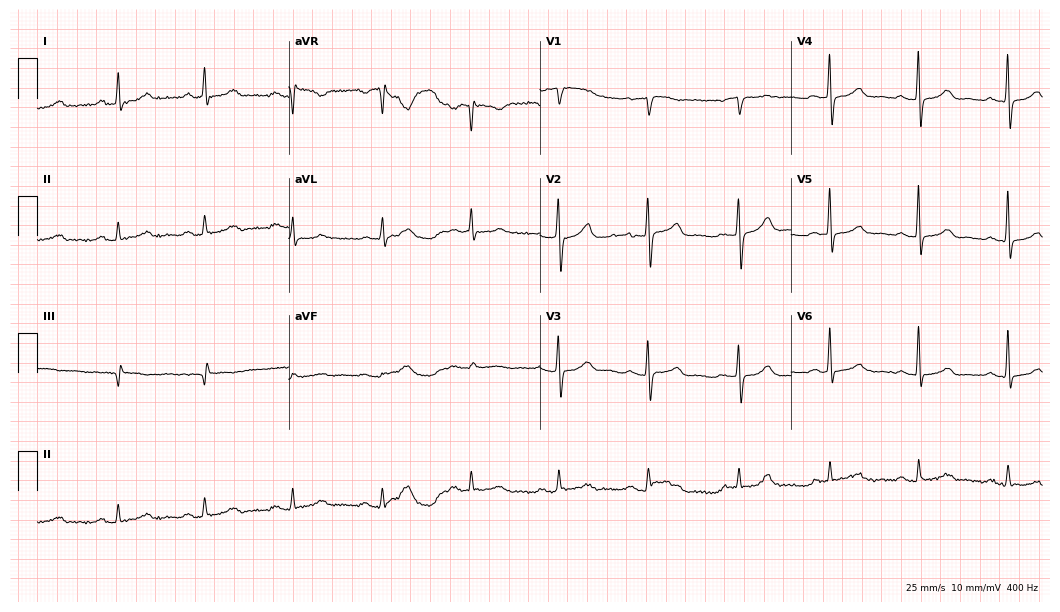
12-lead ECG from a female, 57 years old. Labelled as a normal ECG.